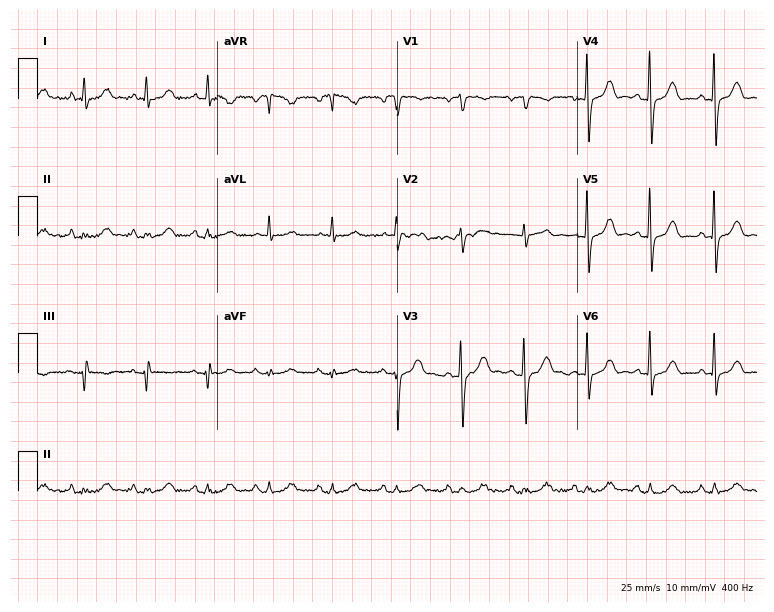
12-lead ECG from a male, 81 years old (7.3-second recording at 400 Hz). No first-degree AV block, right bundle branch block (RBBB), left bundle branch block (LBBB), sinus bradycardia, atrial fibrillation (AF) or sinus tachycardia recorded for this tracing. Only these six findings were labelled.